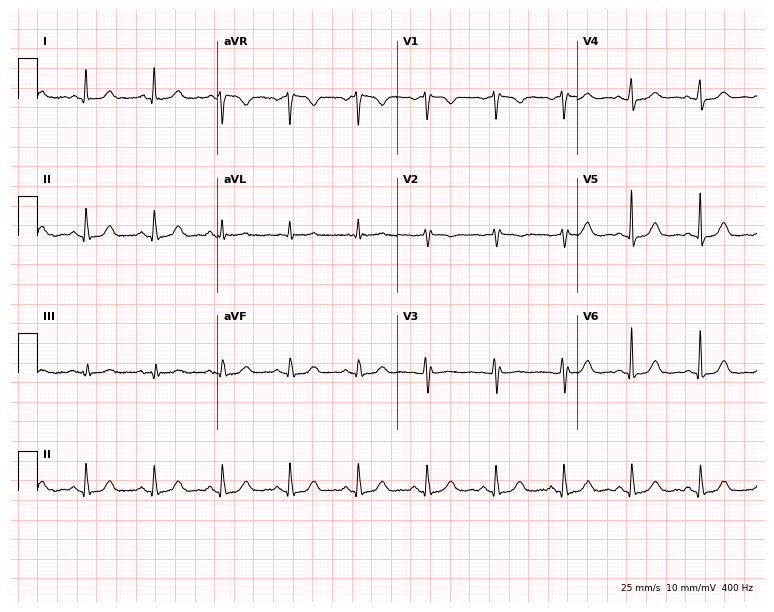
ECG — a 72-year-old woman. Screened for six findings — first-degree AV block, right bundle branch block (RBBB), left bundle branch block (LBBB), sinus bradycardia, atrial fibrillation (AF), sinus tachycardia — none is recorded. Only these six findings were labelled.